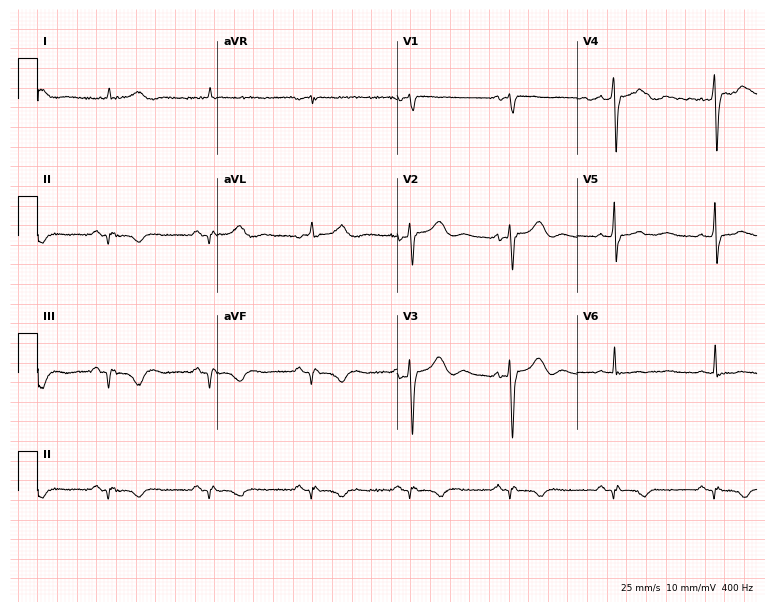
Standard 12-lead ECG recorded from a 76-year-old male (7.3-second recording at 400 Hz). None of these six findings is recorded: first-degree AV block, right bundle branch block, left bundle branch block, sinus bradycardia, atrial fibrillation, sinus tachycardia.